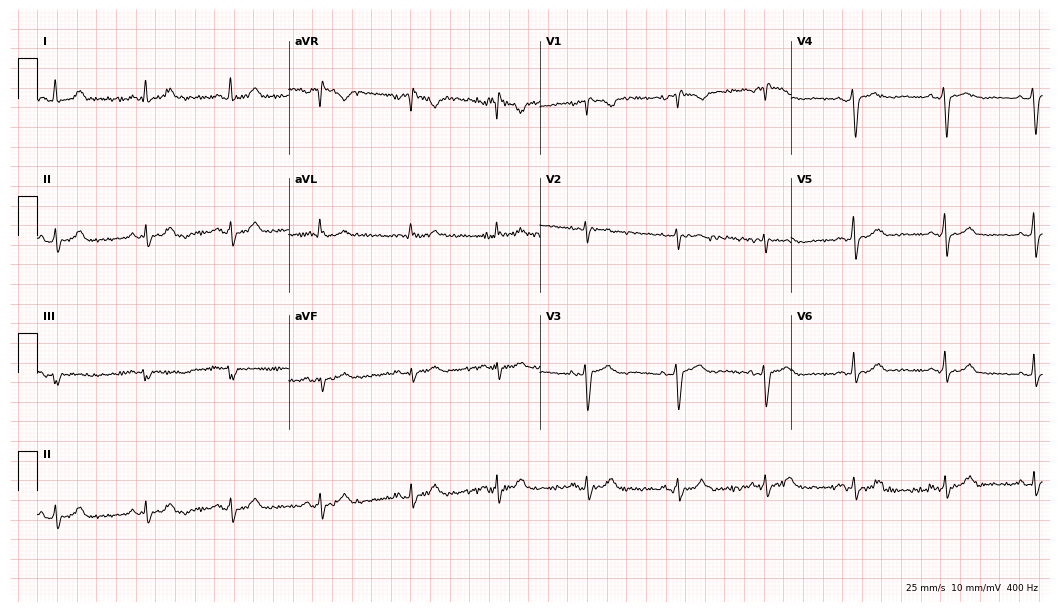
12-lead ECG from a 33-year-old woman. Screened for six findings — first-degree AV block, right bundle branch block (RBBB), left bundle branch block (LBBB), sinus bradycardia, atrial fibrillation (AF), sinus tachycardia — none is recorded.